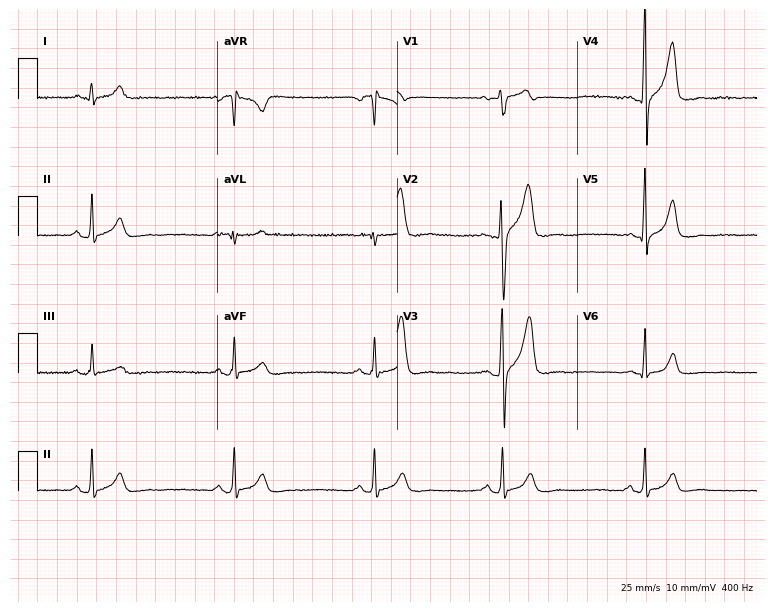
12-lead ECG from a male, 21 years old (7.3-second recording at 400 Hz). No first-degree AV block, right bundle branch block (RBBB), left bundle branch block (LBBB), sinus bradycardia, atrial fibrillation (AF) or sinus tachycardia recorded for this tracing. Only these six findings were labelled.